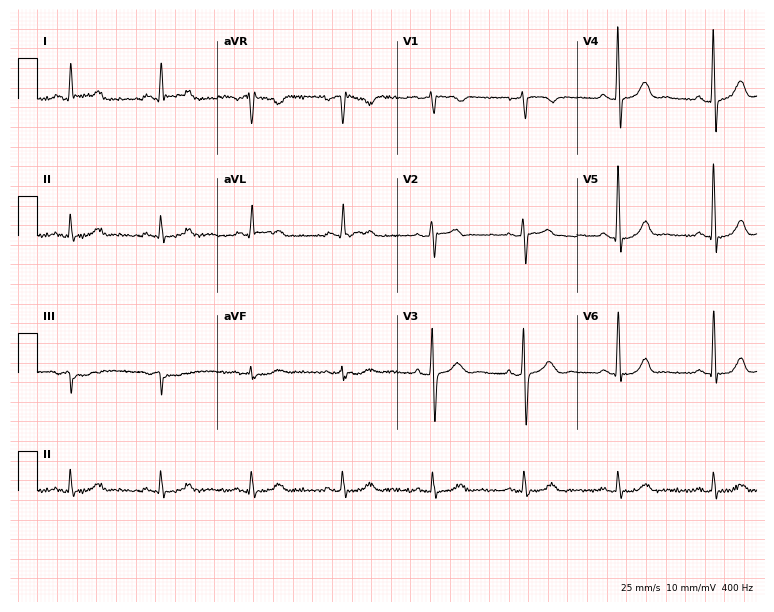
Resting 12-lead electrocardiogram. Patient: a 57-year-old man. Read as a normal ECG.